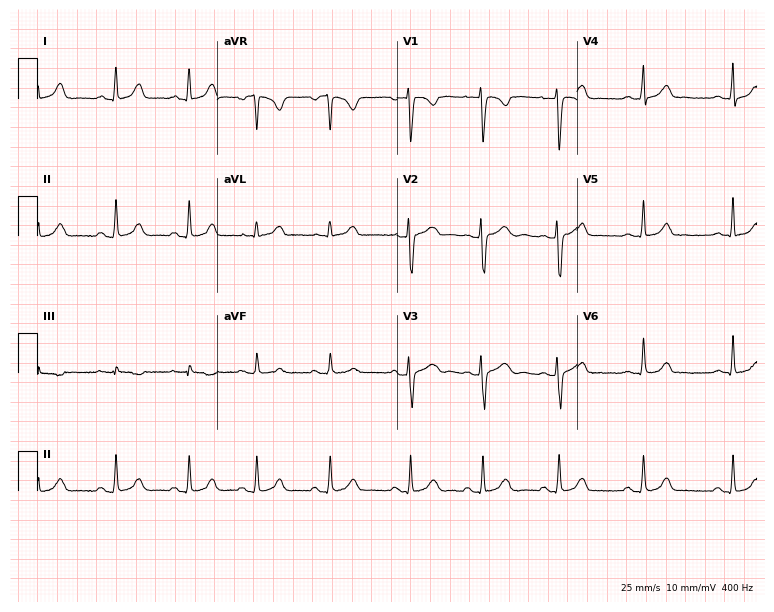
Electrocardiogram (7.3-second recording at 400 Hz), a 22-year-old female. Overall reading on record: normal ECG.